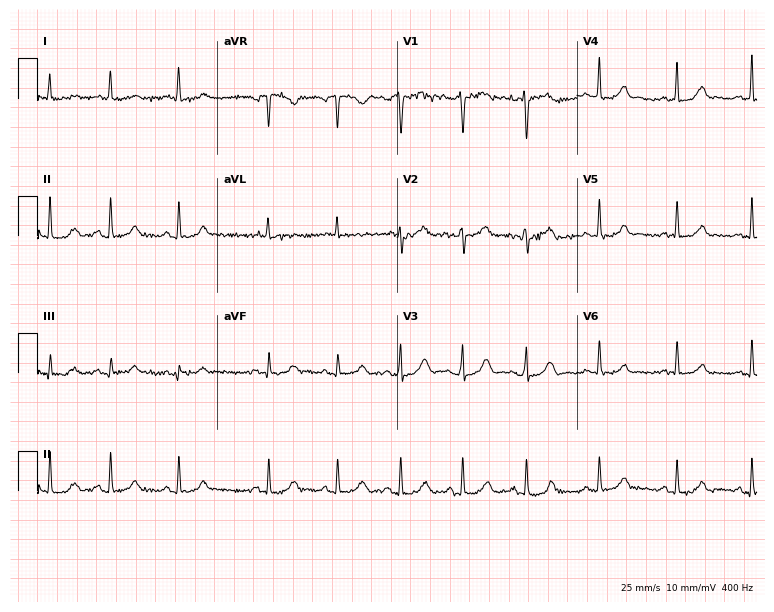
Electrocardiogram (7.3-second recording at 400 Hz), a woman, 26 years old. Overall reading on record: normal ECG.